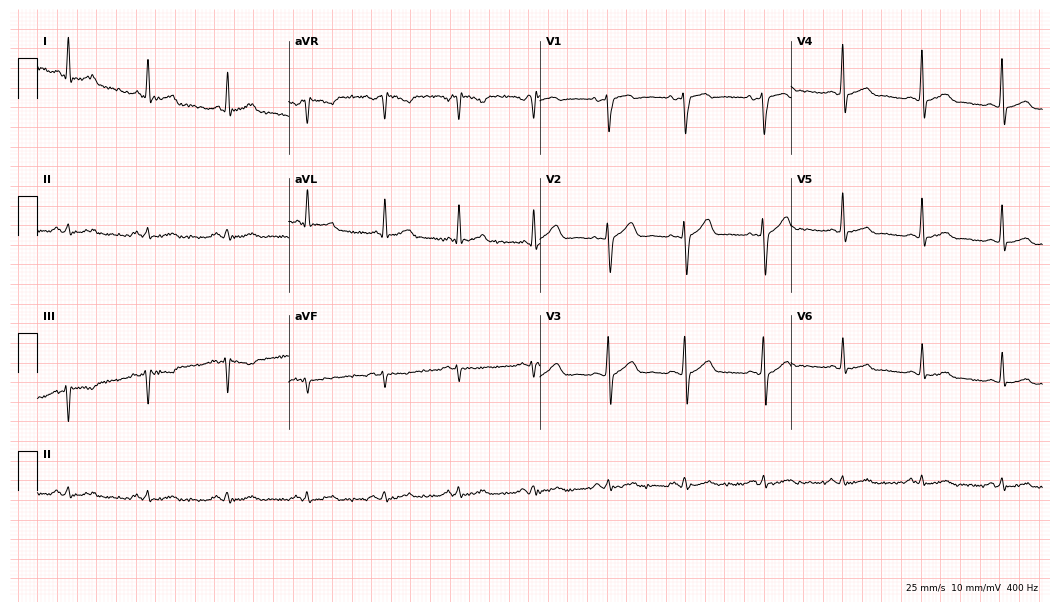
12-lead ECG from a 53-year-old male patient (10.2-second recording at 400 Hz). No first-degree AV block, right bundle branch block, left bundle branch block, sinus bradycardia, atrial fibrillation or sinus tachycardia recorded for this tracing. Other findings, if any, are not listed.